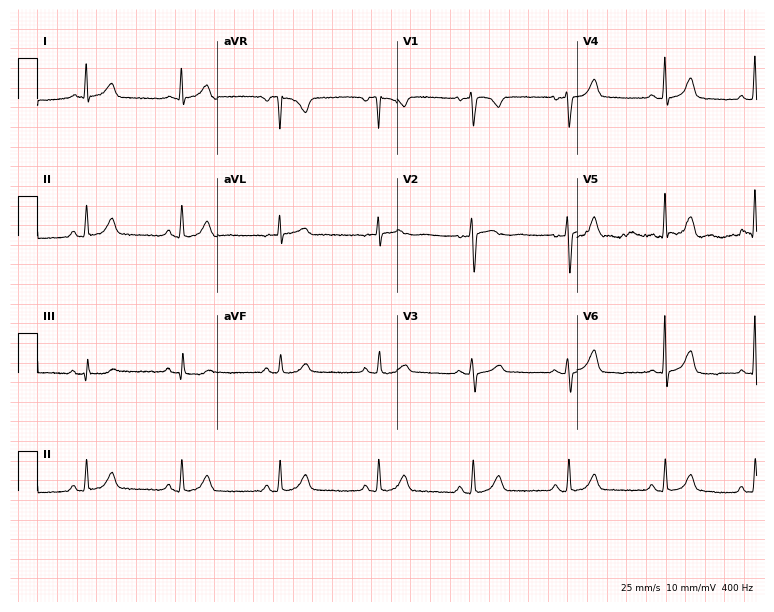
ECG — a woman, 47 years old. Labelled as a normal ECG.